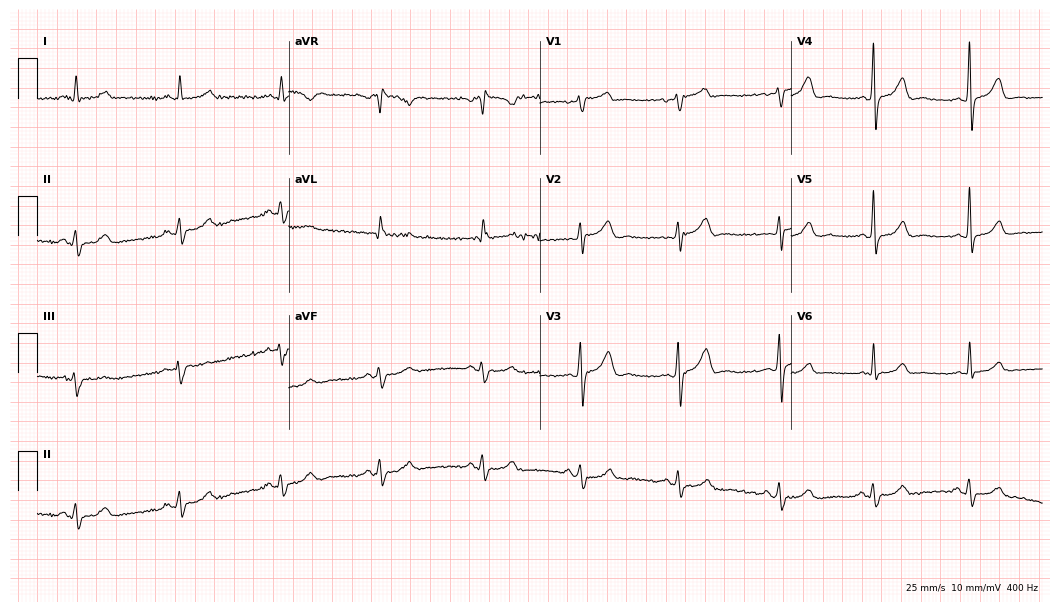
Electrocardiogram, a female patient, 43 years old. Of the six screened findings (first-degree AV block, right bundle branch block, left bundle branch block, sinus bradycardia, atrial fibrillation, sinus tachycardia), none is recorded.